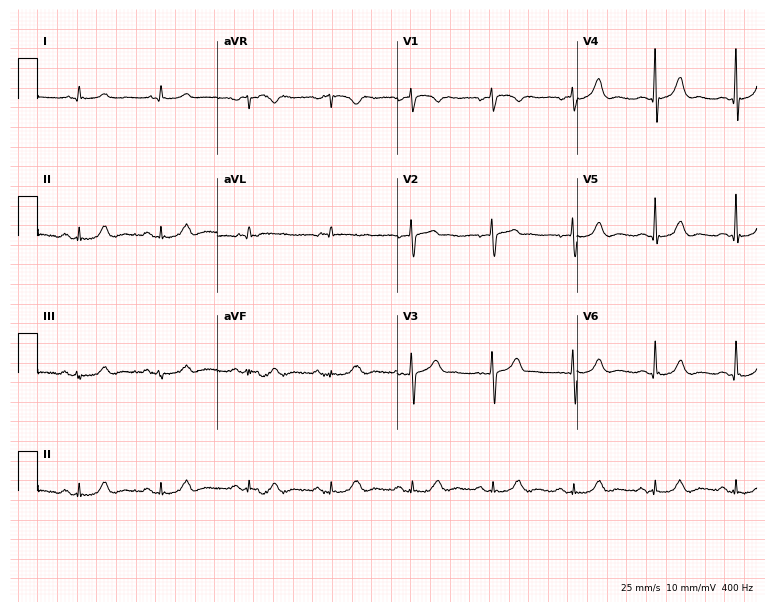
Standard 12-lead ECG recorded from a 71-year-old man. None of these six findings is recorded: first-degree AV block, right bundle branch block, left bundle branch block, sinus bradycardia, atrial fibrillation, sinus tachycardia.